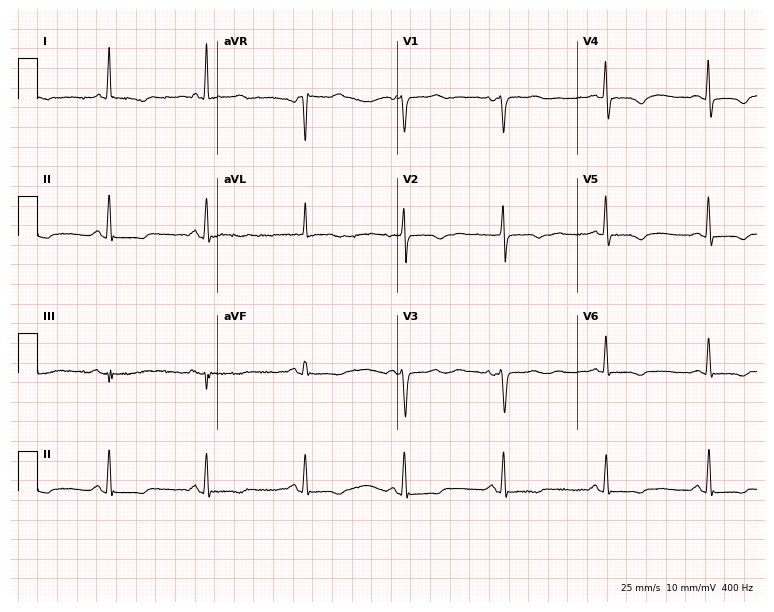
ECG — a female patient, 55 years old. Screened for six findings — first-degree AV block, right bundle branch block, left bundle branch block, sinus bradycardia, atrial fibrillation, sinus tachycardia — none is recorded.